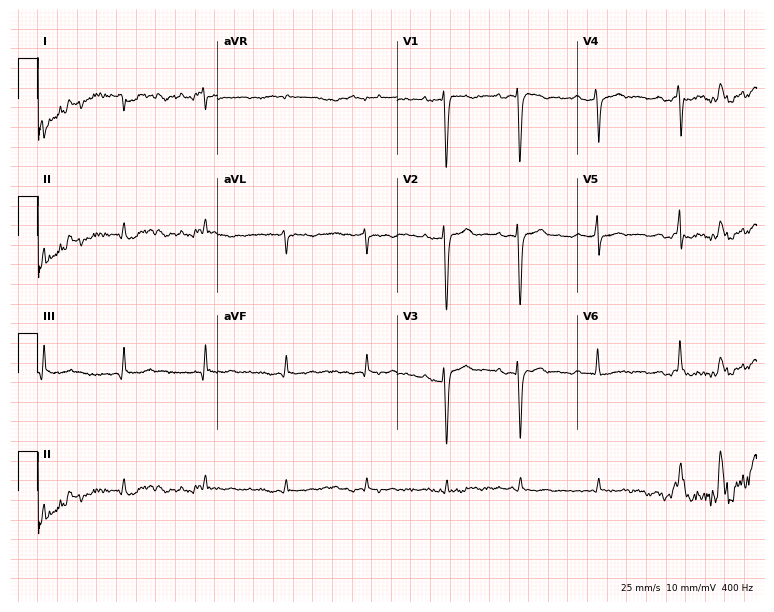
12-lead ECG from a 34-year-old female. No first-degree AV block, right bundle branch block, left bundle branch block, sinus bradycardia, atrial fibrillation or sinus tachycardia recorded for this tracing. Other findings, if any, are not listed.